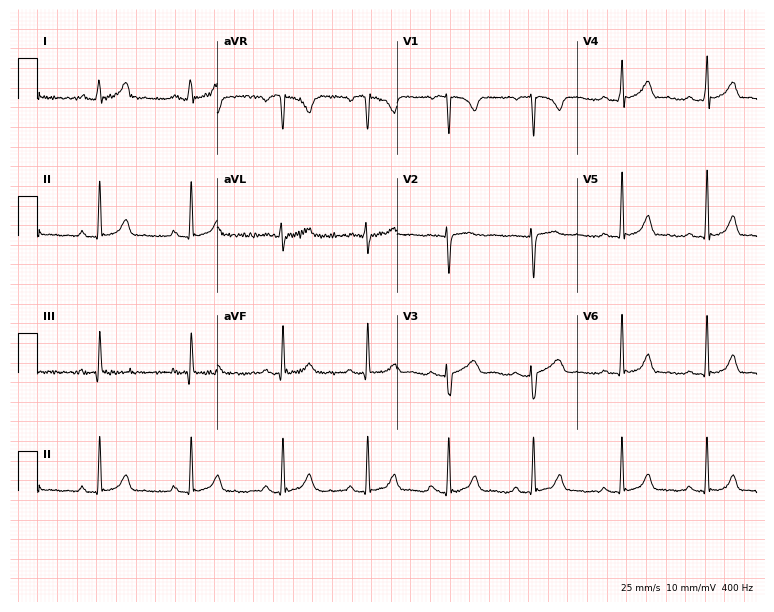
Electrocardiogram (7.3-second recording at 400 Hz), a 21-year-old female. Overall reading on record: normal ECG.